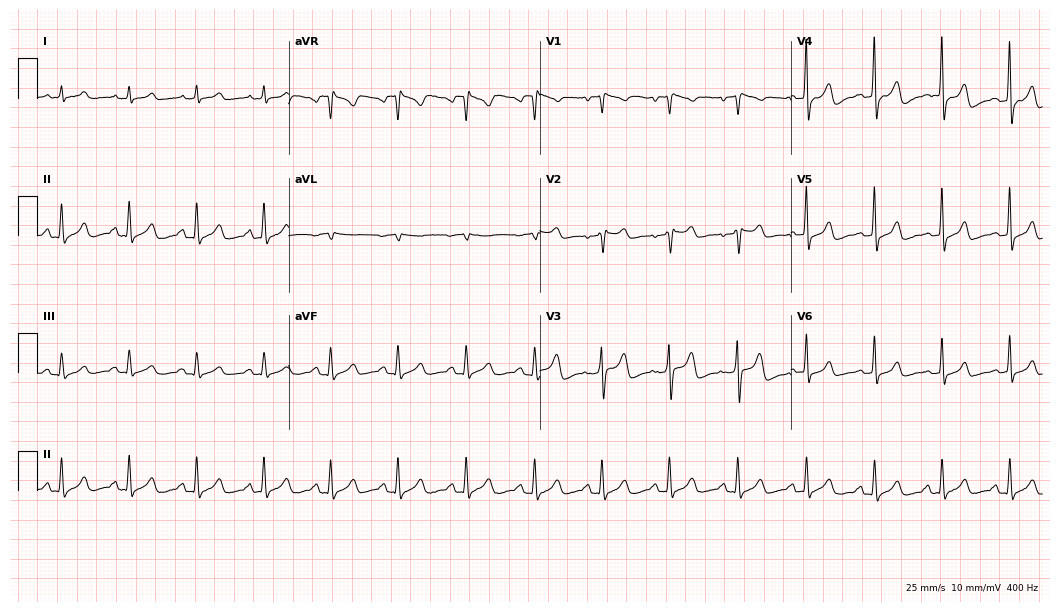
12-lead ECG (10.2-second recording at 400 Hz) from a 75-year-old woman. Labelled as a normal ECG.